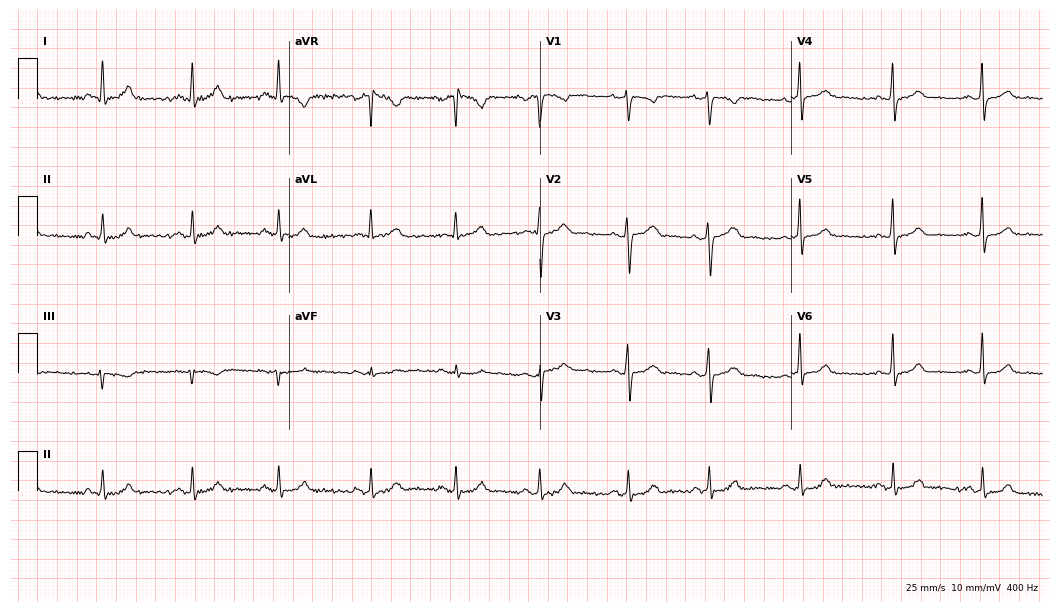
12-lead ECG from a 31-year-old woman (10.2-second recording at 400 Hz). No first-degree AV block, right bundle branch block, left bundle branch block, sinus bradycardia, atrial fibrillation or sinus tachycardia recorded for this tracing. Only these six findings were labelled.